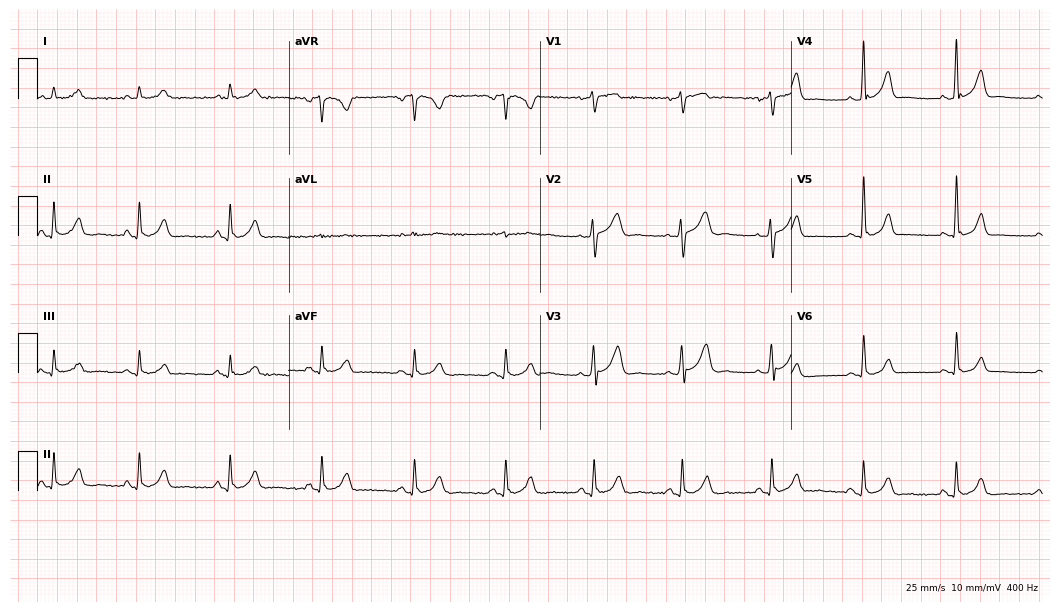
12-lead ECG from a male, 41 years old. No first-degree AV block, right bundle branch block, left bundle branch block, sinus bradycardia, atrial fibrillation or sinus tachycardia recorded for this tracing. Other findings, if any, are not listed.